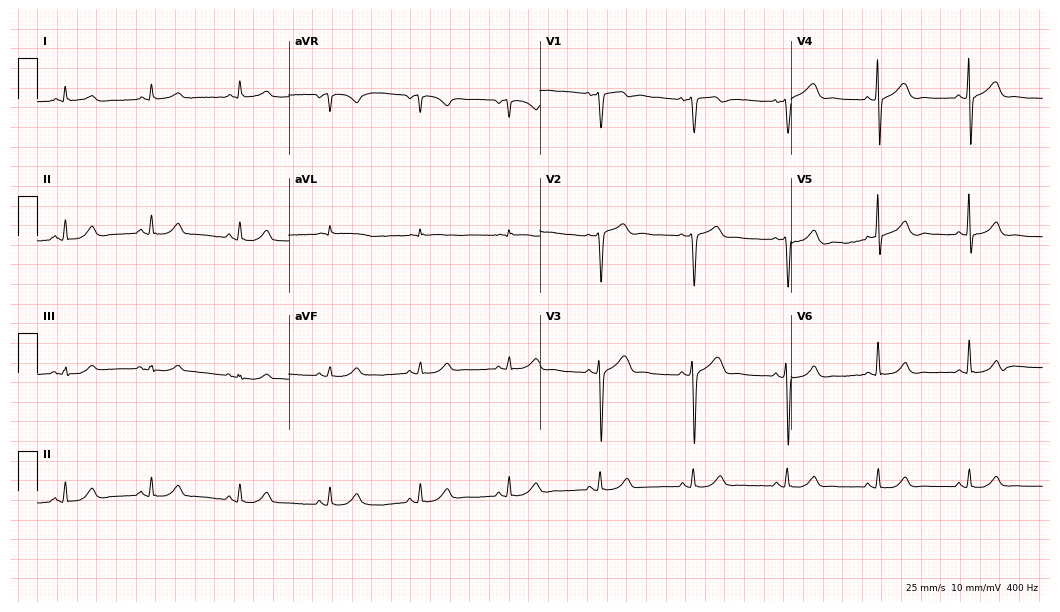
Resting 12-lead electrocardiogram. Patient: a 56-year-old male. None of these six findings is recorded: first-degree AV block, right bundle branch block (RBBB), left bundle branch block (LBBB), sinus bradycardia, atrial fibrillation (AF), sinus tachycardia. Other findings, if any, are not listed.